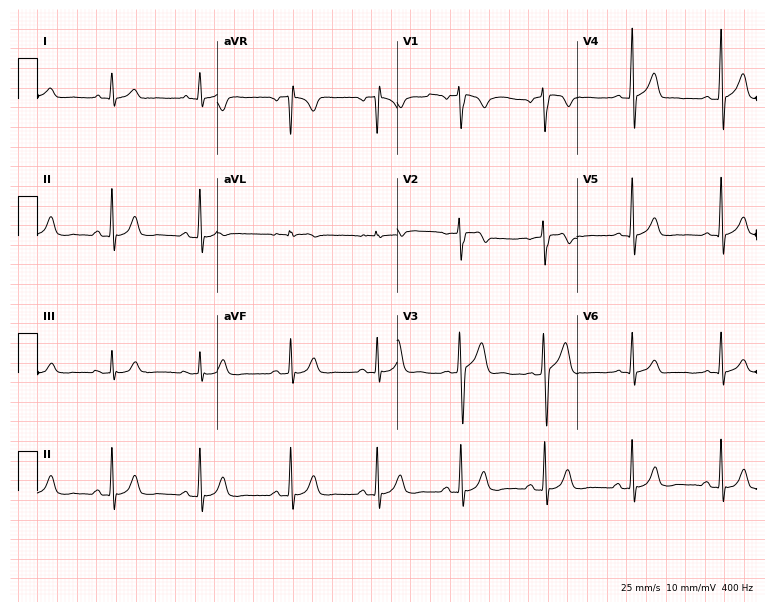
Standard 12-lead ECG recorded from a 26-year-old male. None of these six findings is recorded: first-degree AV block, right bundle branch block (RBBB), left bundle branch block (LBBB), sinus bradycardia, atrial fibrillation (AF), sinus tachycardia. Only these six findings were labelled.